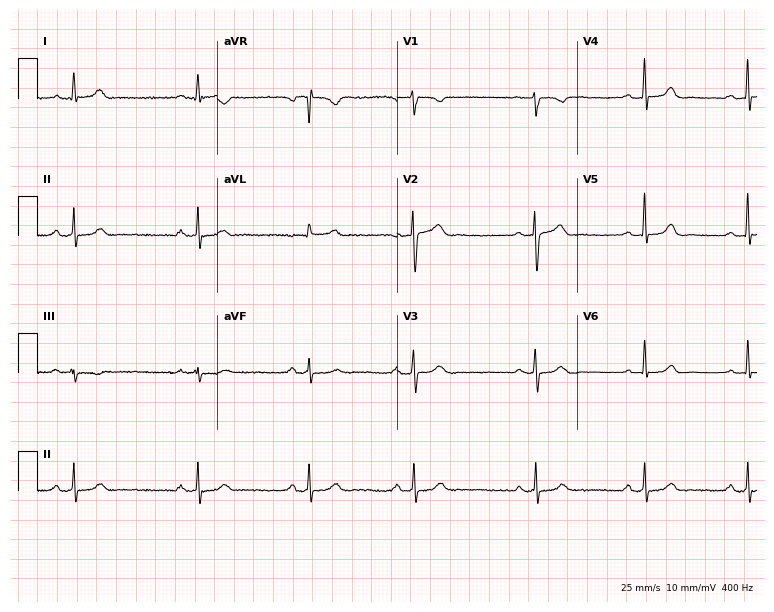
12-lead ECG (7.3-second recording at 400 Hz) from a 50-year-old woman. Screened for six findings — first-degree AV block, right bundle branch block, left bundle branch block, sinus bradycardia, atrial fibrillation, sinus tachycardia — none is recorded.